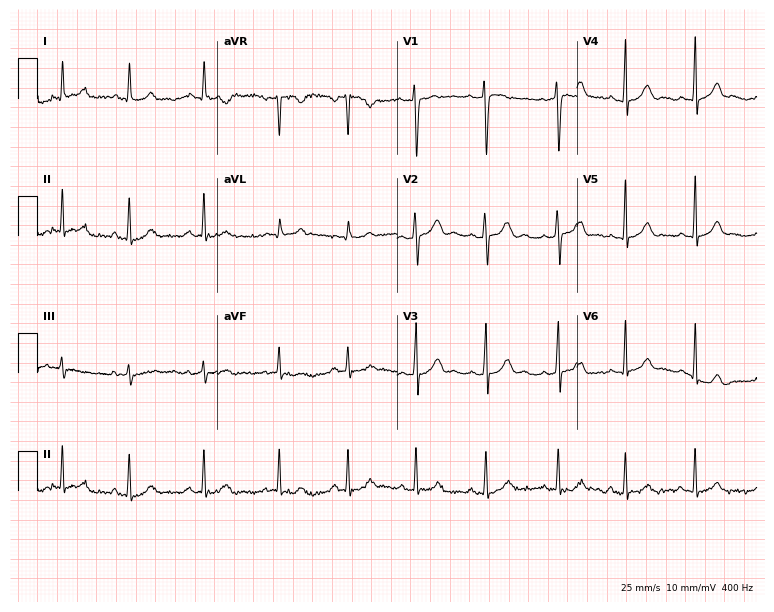
Standard 12-lead ECG recorded from a female patient, 25 years old (7.3-second recording at 400 Hz). None of these six findings is recorded: first-degree AV block, right bundle branch block, left bundle branch block, sinus bradycardia, atrial fibrillation, sinus tachycardia.